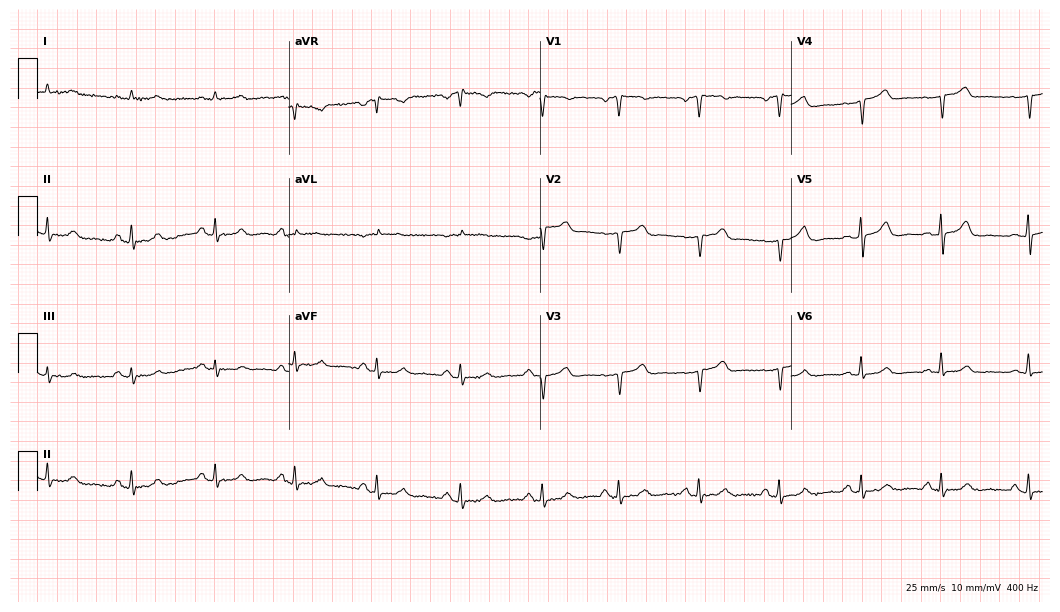
Standard 12-lead ECG recorded from a 58-year-old male patient (10.2-second recording at 400 Hz). None of these six findings is recorded: first-degree AV block, right bundle branch block (RBBB), left bundle branch block (LBBB), sinus bradycardia, atrial fibrillation (AF), sinus tachycardia. Only these six findings were labelled.